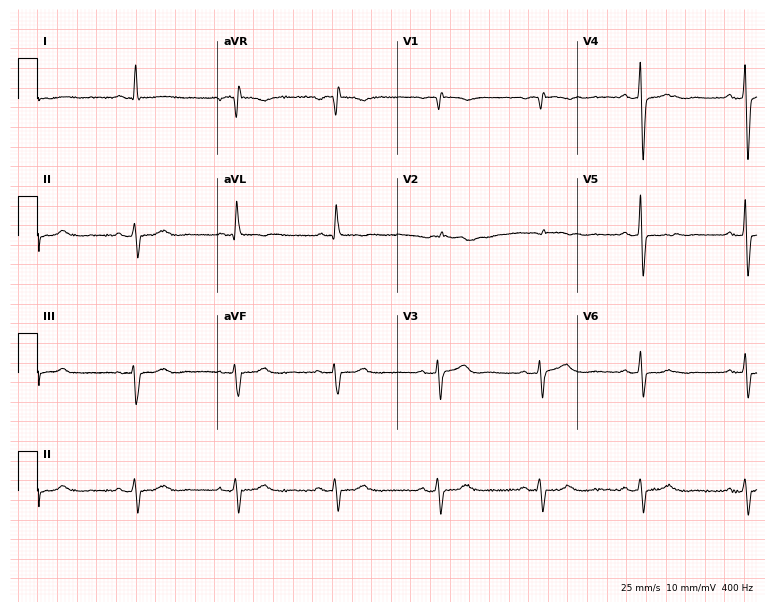
Electrocardiogram (7.3-second recording at 400 Hz), a female, 67 years old. Of the six screened findings (first-degree AV block, right bundle branch block, left bundle branch block, sinus bradycardia, atrial fibrillation, sinus tachycardia), none is recorded. Findings outside these six are not listed.